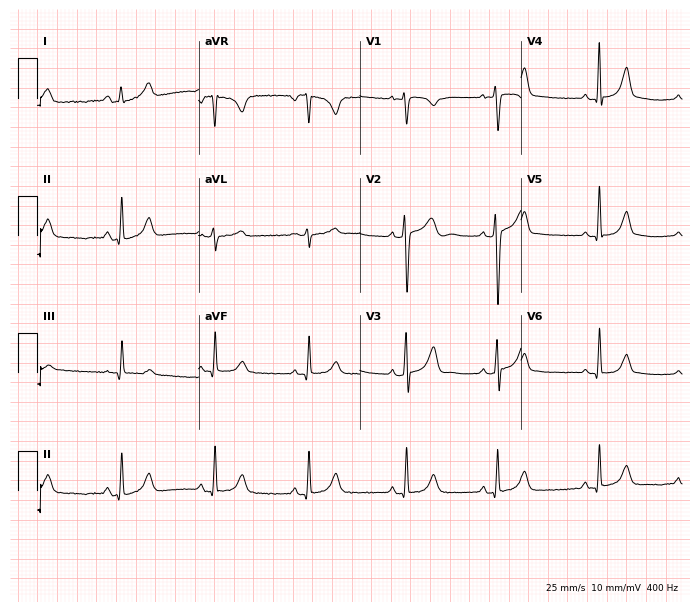
12-lead ECG from a 27-year-old female. Screened for six findings — first-degree AV block, right bundle branch block, left bundle branch block, sinus bradycardia, atrial fibrillation, sinus tachycardia — none is recorded.